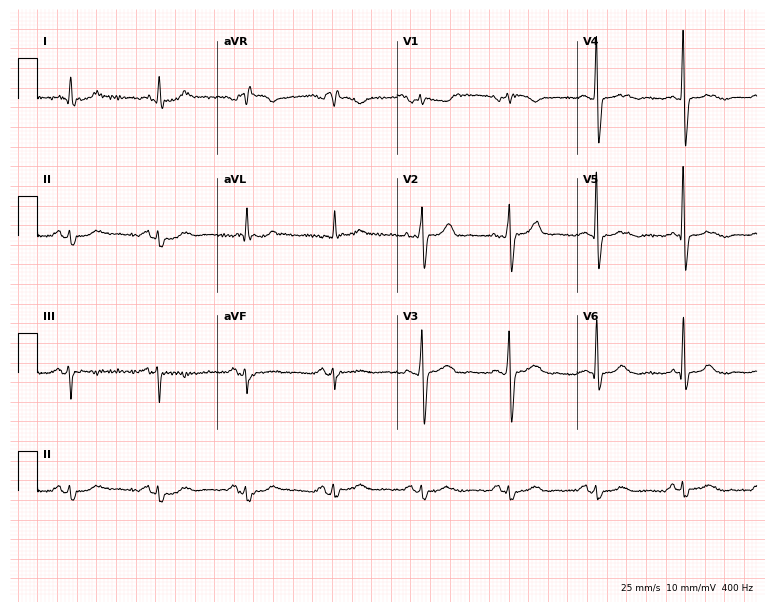
Standard 12-lead ECG recorded from a male patient, 51 years old. None of these six findings is recorded: first-degree AV block, right bundle branch block, left bundle branch block, sinus bradycardia, atrial fibrillation, sinus tachycardia. Other findings, if any, are not listed.